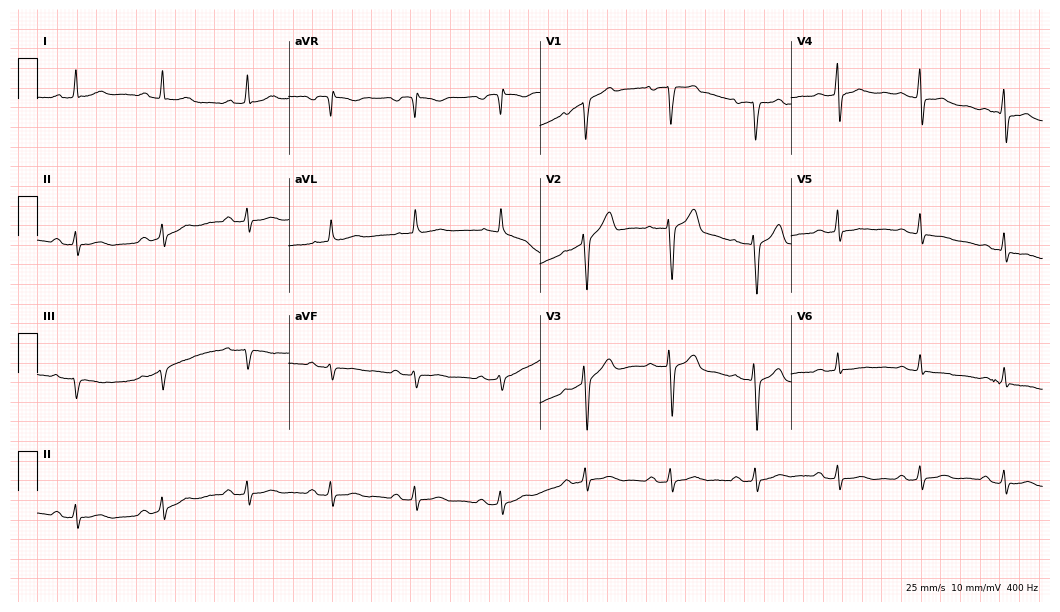
12-lead ECG from a male, 46 years old. Screened for six findings — first-degree AV block, right bundle branch block, left bundle branch block, sinus bradycardia, atrial fibrillation, sinus tachycardia — none is recorded.